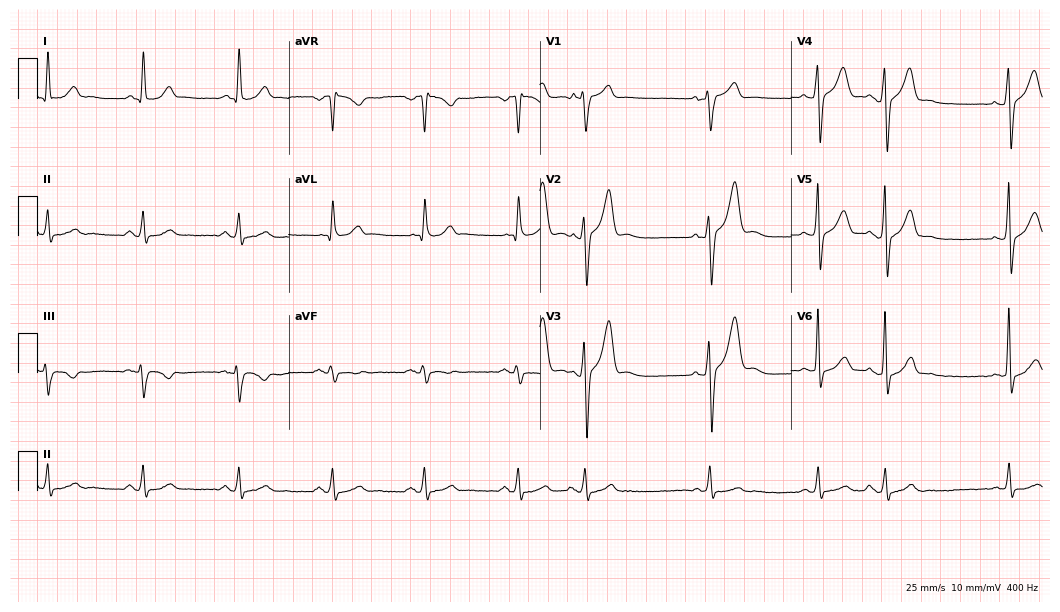
ECG (10.2-second recording at 400 Hz) — a 58-year-old man. Screened for six findings — first-degree AV block, right bundle branch block (RBBB), left bundle branch block (LBBB), sinus bradycardia, atrial fibrillation (AF), sinus tachycardia — none is recorded.